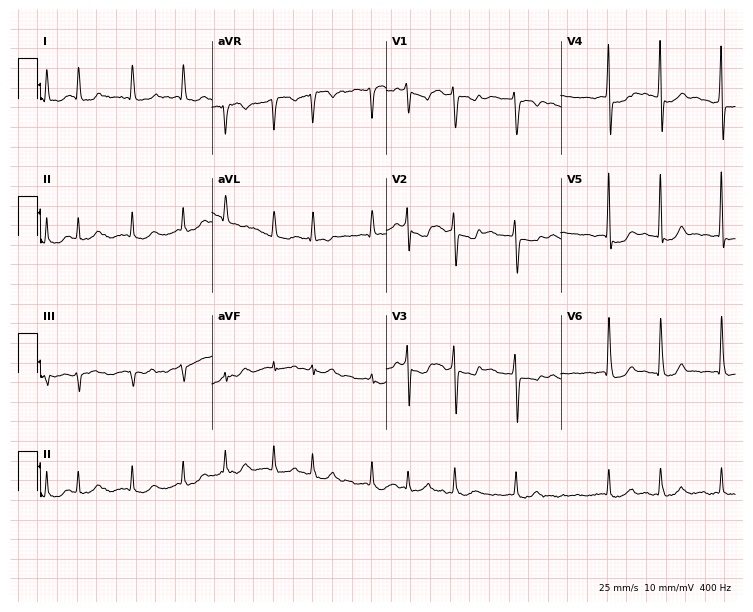
Standard 12-lead ECG recorded from a female patient, 64 years old. The tracing shows atrial fibrillation.